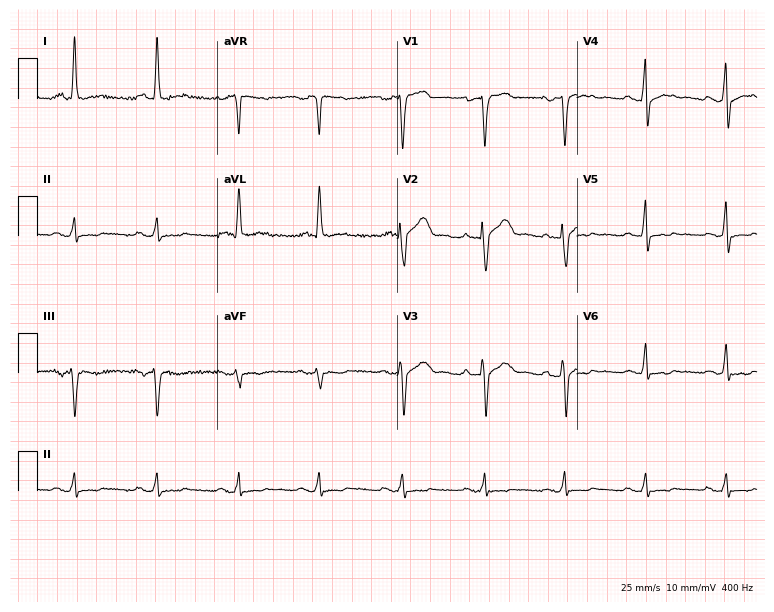
Standard 12-lead ECG recorded from a 72-year-old man. None of these six findings is recorded: first-degree AV block, right bundle branch block, left bundle branch block, sinus bradycardia, atrial fibrillation, sinus tachycardia. Only these six findings were labelled.